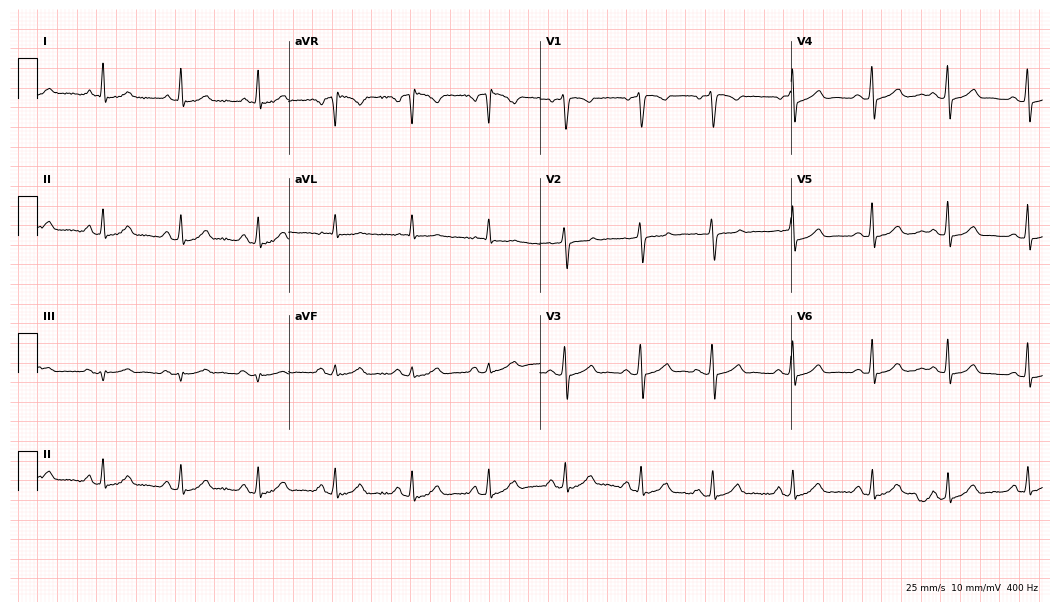
12-lead ECG (10.2-second recording at 400 Hz) from a 74-year-old woman. Labelled as a normal ECG.